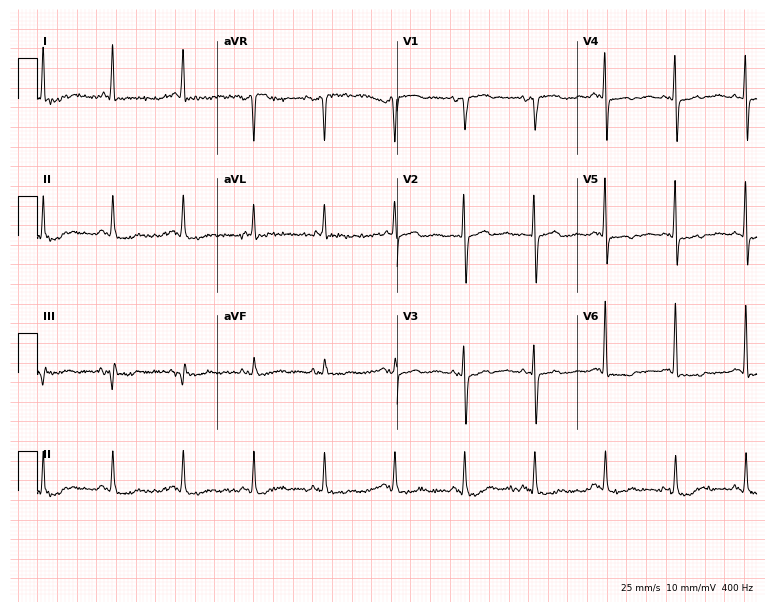
Electrocardiogram, a female patient, 84 years old. Of the six screened findings (first-degree AV block, right bundle branch block, left bundle branch block, sinus bradycardia, atrial fibrillation, sinus tachycardia), none is recorded.